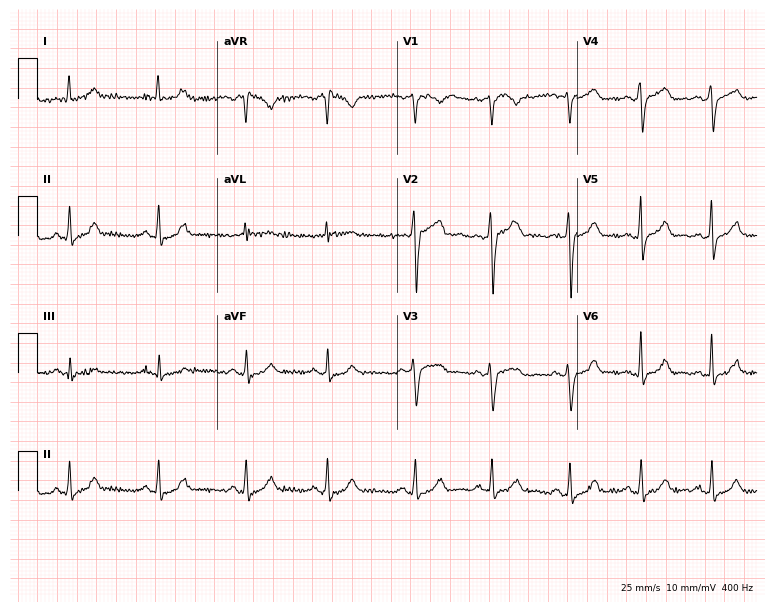
Resting 12-lead electrocardiogram (7.3-second recording at 400 Hz). Patient: a male, 27 years old. Read as a normal ECG.